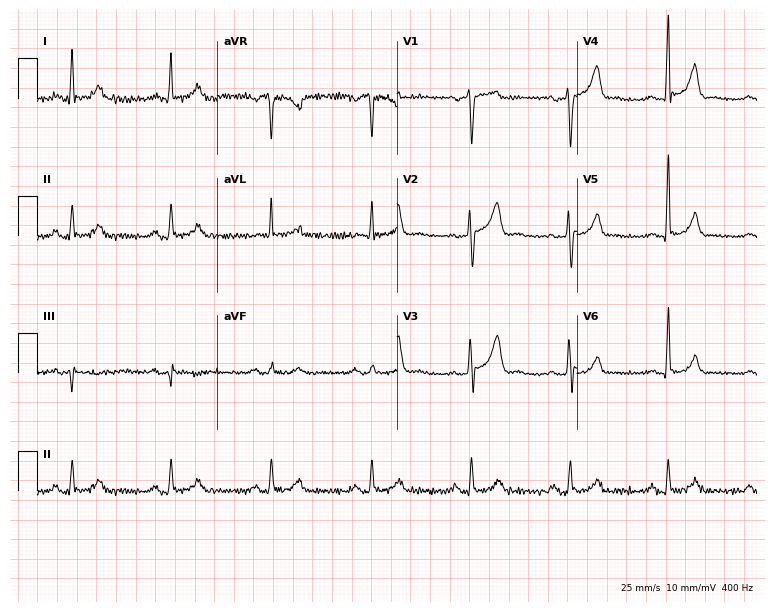
Electrocardiogram (7.3-second recording at 400 Hz), a 56-year-old male patient. Overall reading on record: normal ECG.